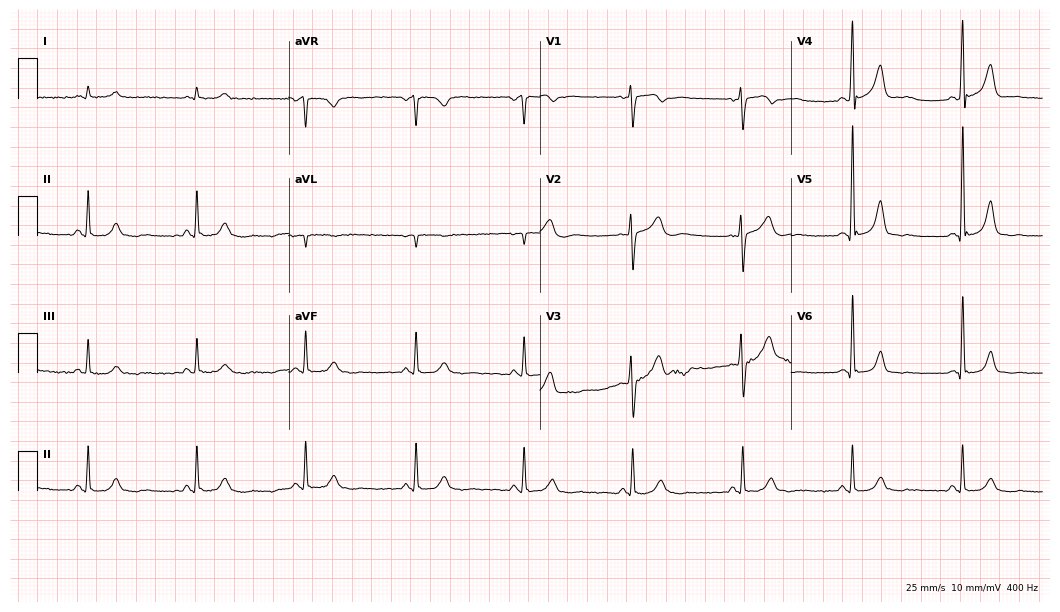
Electrocardiogram, a male patient, 44 years old. Of the six screened findings (first-degree AV block, right bundle branch block, left bundle branch block, sinus bradycardia, atrial fibrillation, sinus tachycardia), none is recorded. Only these six findings were labelled.